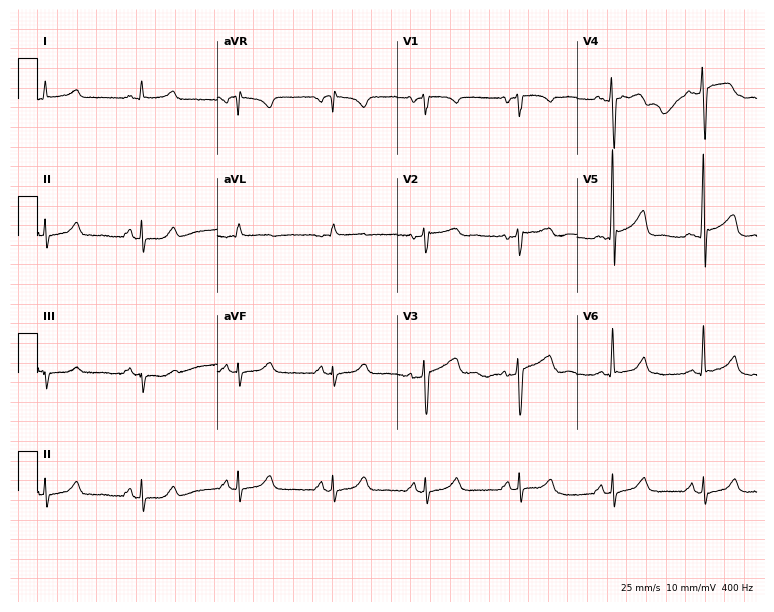
Resting 12-lead electrocardiogram. Patient: a 58-year-old male. Read as a normal ECG.